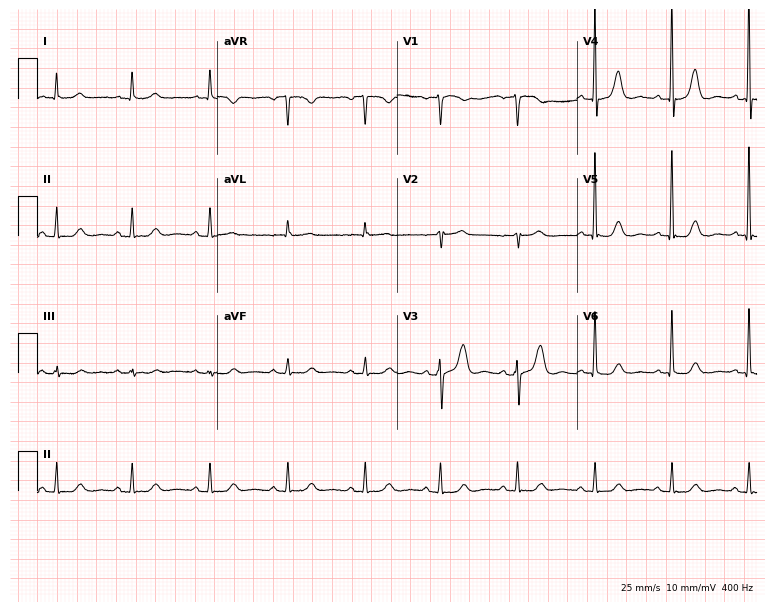
Resting 12-lead electrocardiogram. Patient: an 80-year-old female. None of these six findings is recorded: first-degree AV block, right bundle branch block, left bundle branch block, sinus bradycardia, atrial fibrillation, sinus tachycardia. Findings outside these six are not listed.